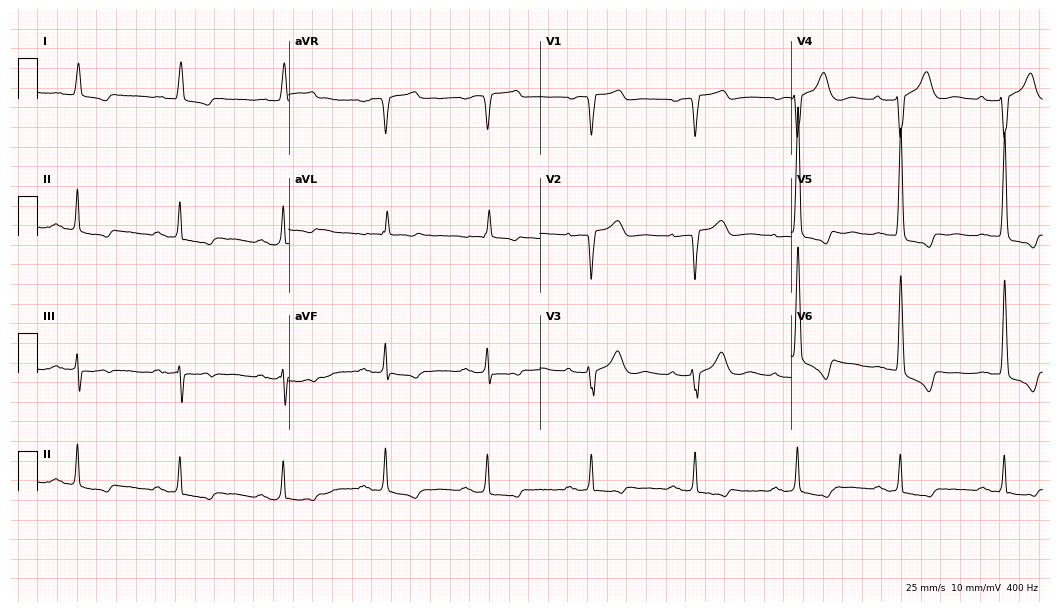
Resting 12-lead electrocardiogram. Patient: a male, 85 years old. The tracing shows first-degree AV block.